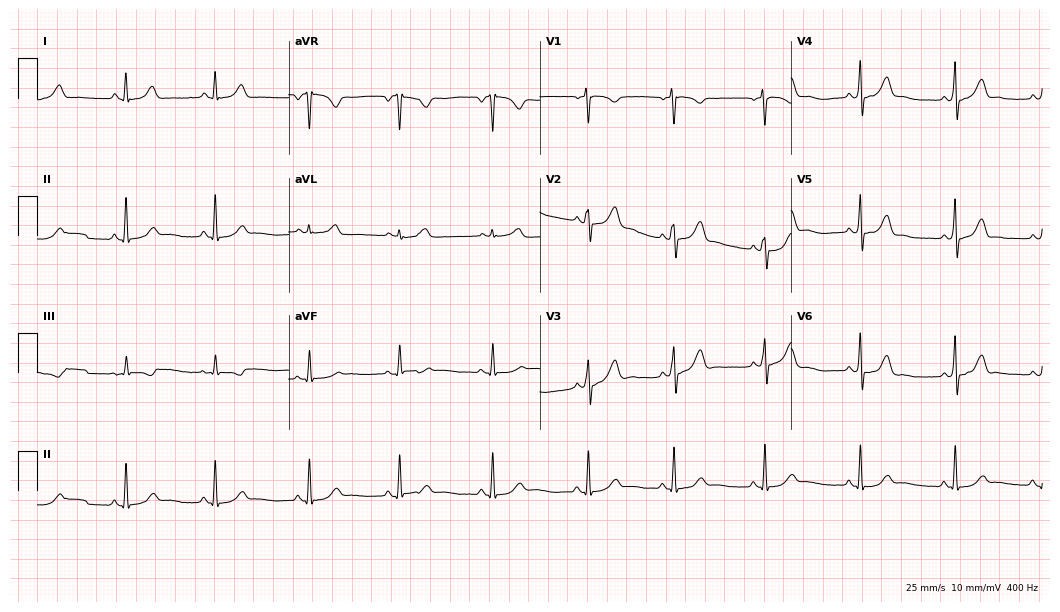
Electrocardiogram (10.2-second recording at 400 Hz), a female, 19 years old. Overall reading on record: normal ECG.